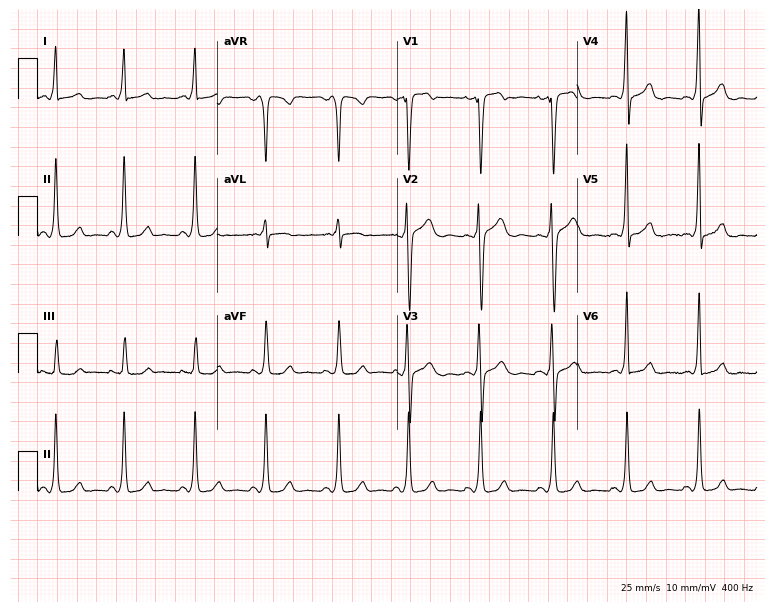
12-lead ECG from a female patient, 28 years old. No first-degree AV block, right bundle branch block, left bundle branch block, sinus bradycardia, atrial fibrillation or sinus tachycardia recorded for this tracing. Other findings, if any, are not listed.